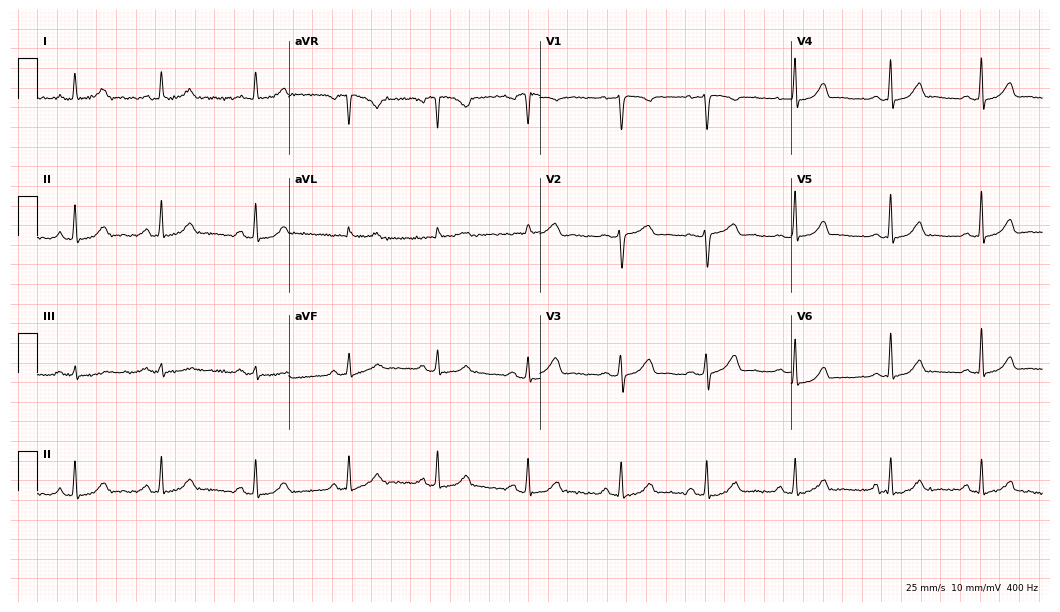
12-lead ECG from a 42-year-old woman (10.2-second recording at 400 Hz). No first-degree AV block, right bundle branch block (RBBB), left bundle branch block (LBBB), sinus bradycardia, atrial fibrillation (AF) or sinus tachycardia recorded for this tracing.